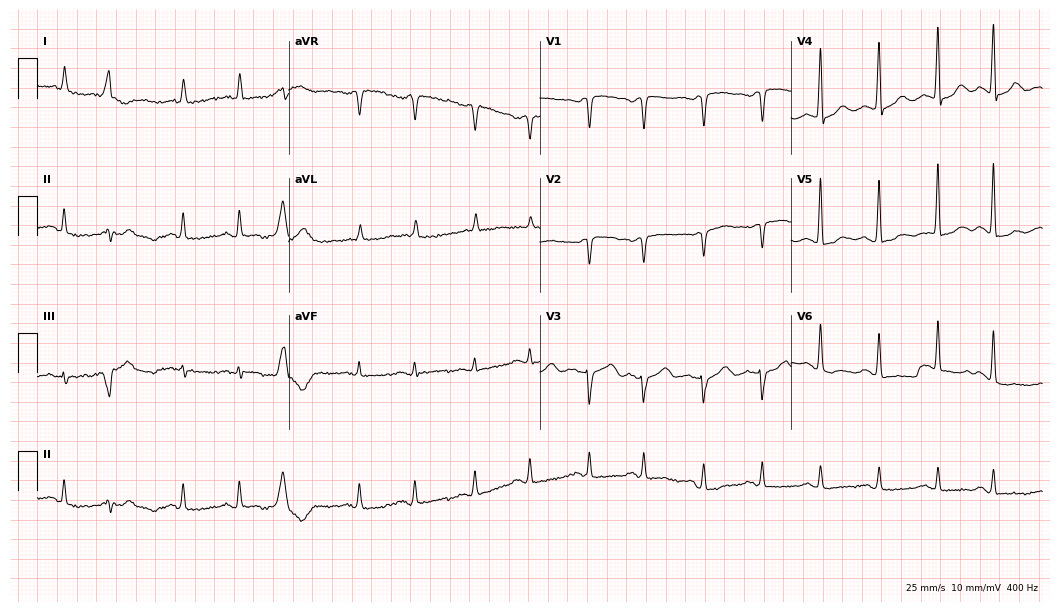
Resting 12-lead electrocardiogram (10.2-second recording at 400 Hz). Patient: an 83-year-old male. None of these six findings is recorded: first-degree AV block, right bundle branch block, left bundle branch block, sinus bradycardia, atrial fibrillation, sinus tachycardia.